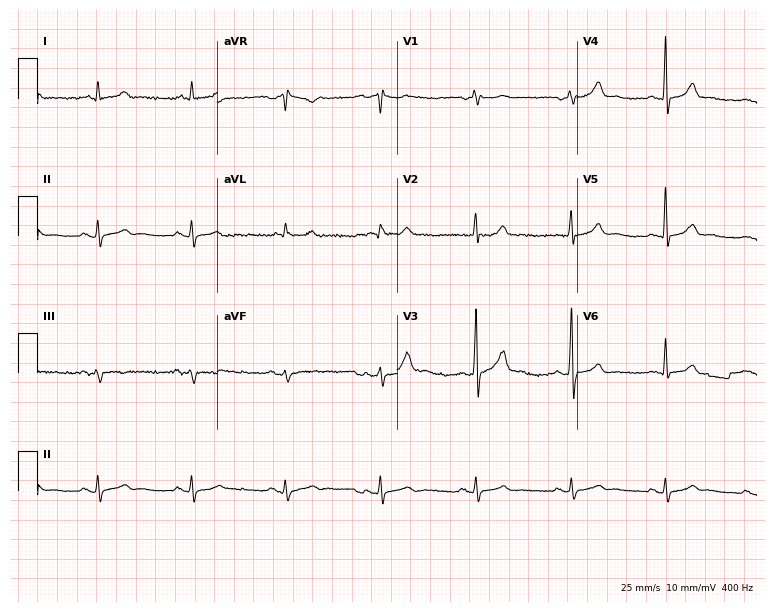
12-lead ECG from a male, 56 years old. Recorded interpretation: within normal limits.